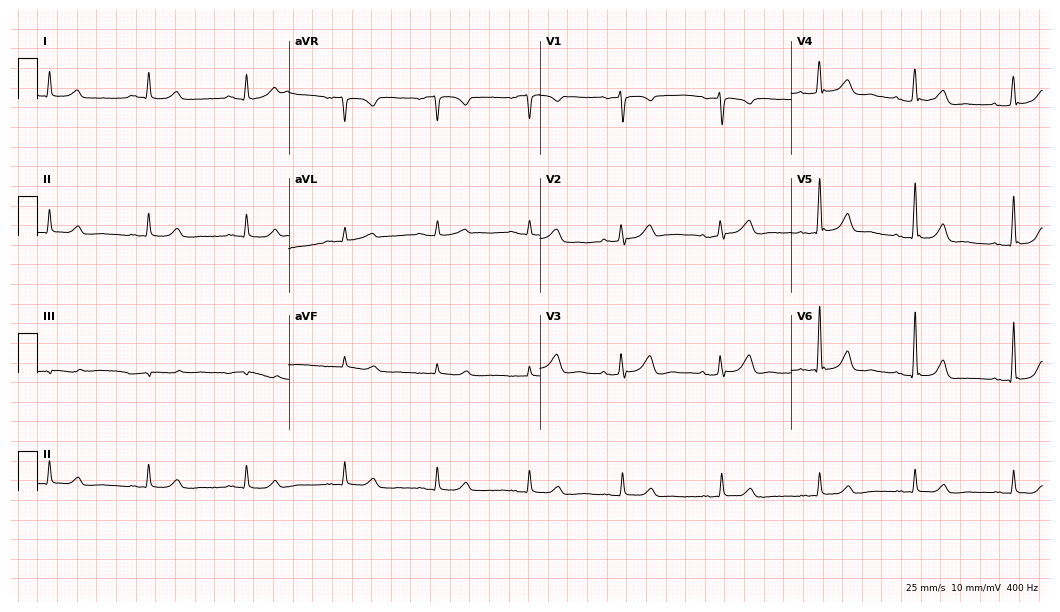
Standard 12-lead ECG recorded from a 71-year-old woman (10.2-second recording at 400 Hz). Read as a normal ECG.